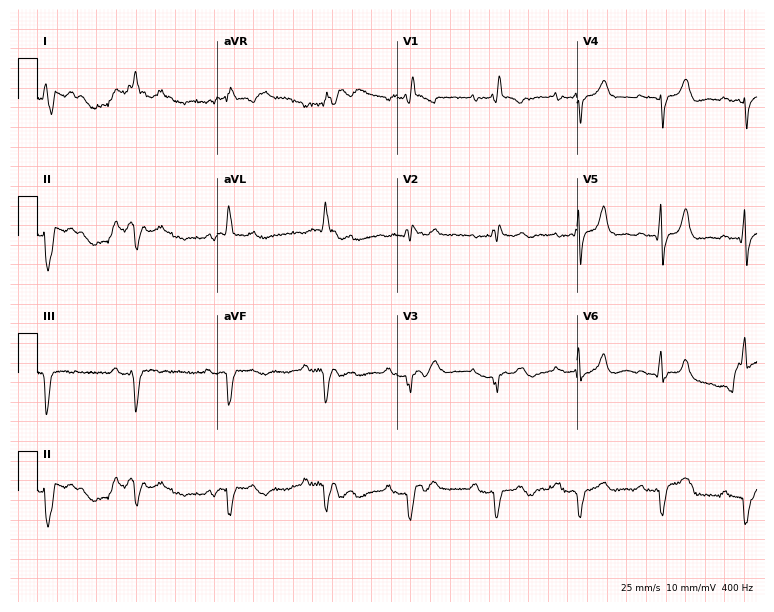
12-lead ECG from a woman, 85 years old (7.3-second recording at 400 Hz). Shows first-degree AV block, right bundle branch block (RBBB).